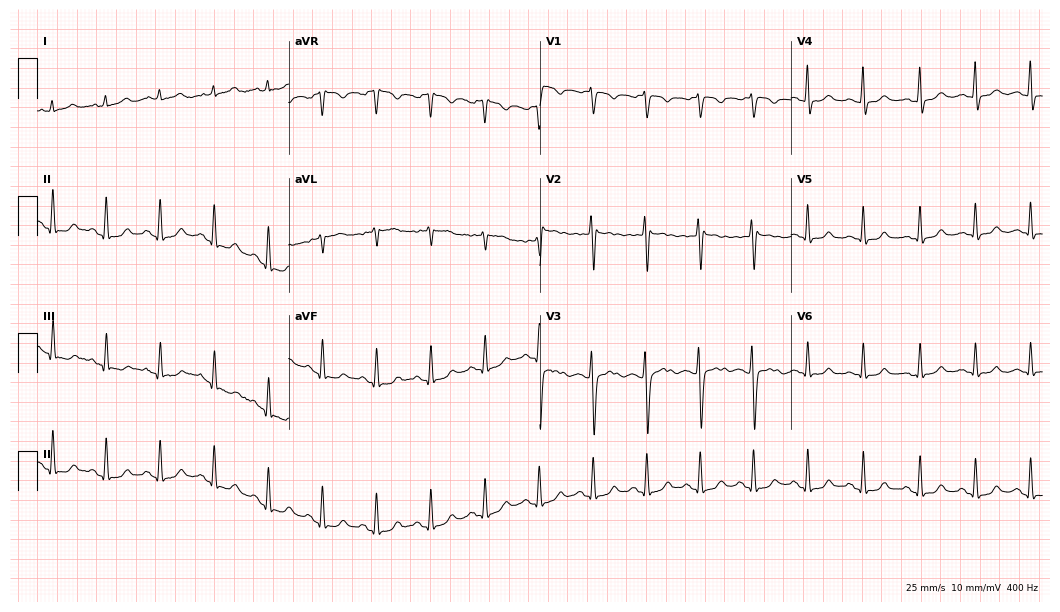
Resting 12-lead electrocardiogram (10.2-second recording at 400 Hz). Patient: a female, 30 years old. The tracing shows sinus tachycardia (a sinus rate of 100 beats per minute or more).